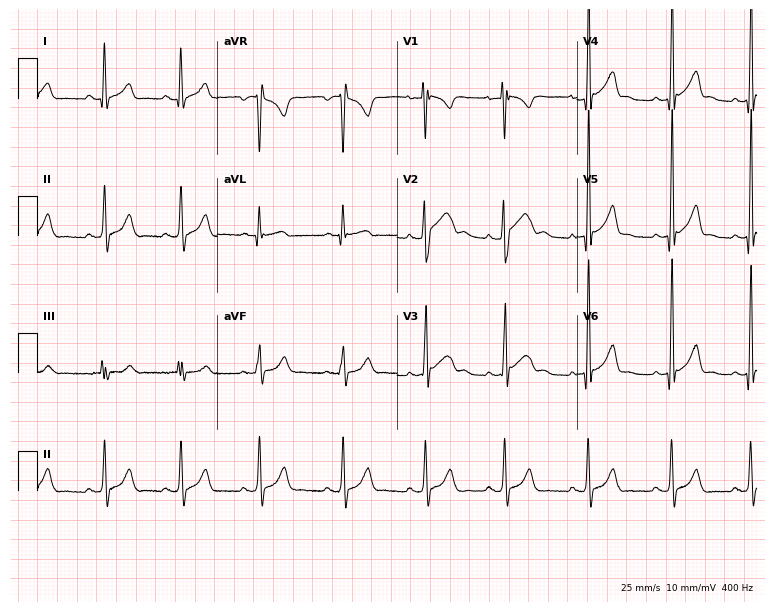
Resting 12-lead electrocardiogram (7.3-second recording at 400 Hz). Patient: a man, 18 years old. None of these six findings is recorded: first-degree AV block, right bundle branch block, left bundle branch block, sinus bradycardia, atrial fibrillation, sinus tachycardia. Other findings, if any, are not listed.